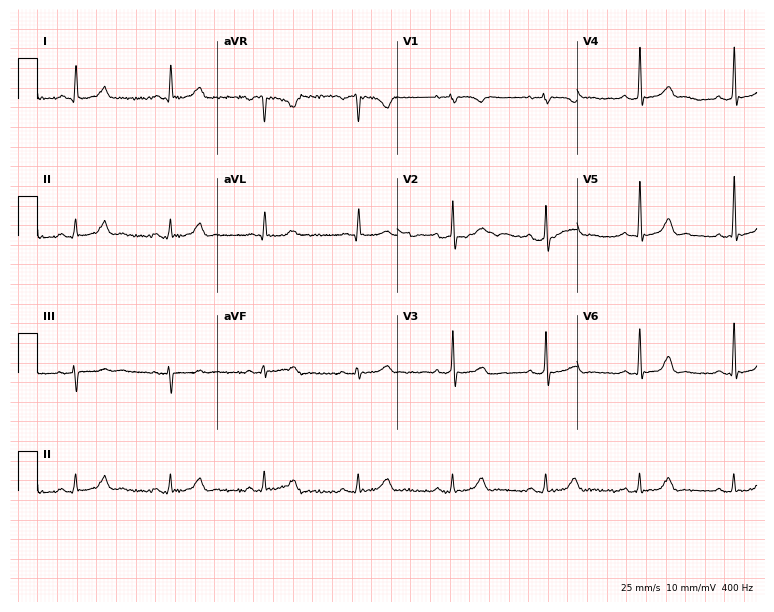
12-lead ECG (7.3-second recording at 400 Hz) from a 77-year-old man. Screened for six findings — first-degree AV block, right bundle branch block, left bundle branch block, sinus bradycardia, atrial fibrillation, sinus tachycardia — none is recorded.